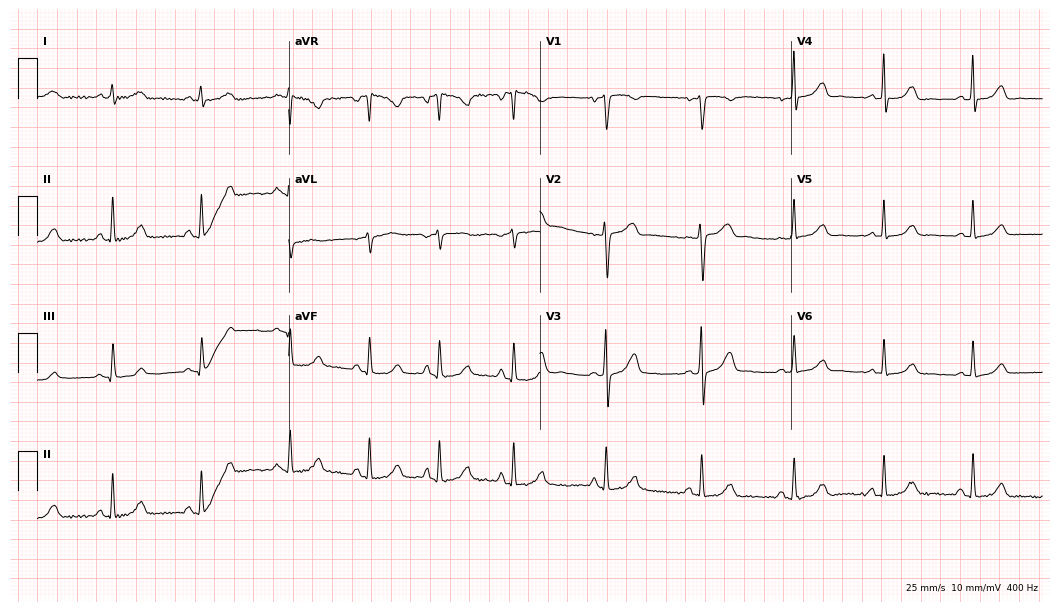
Standard 12-lead ECG recorded from a 40-year-old female (10.2-second recording at 400 Hz). Read as a normal ECG.